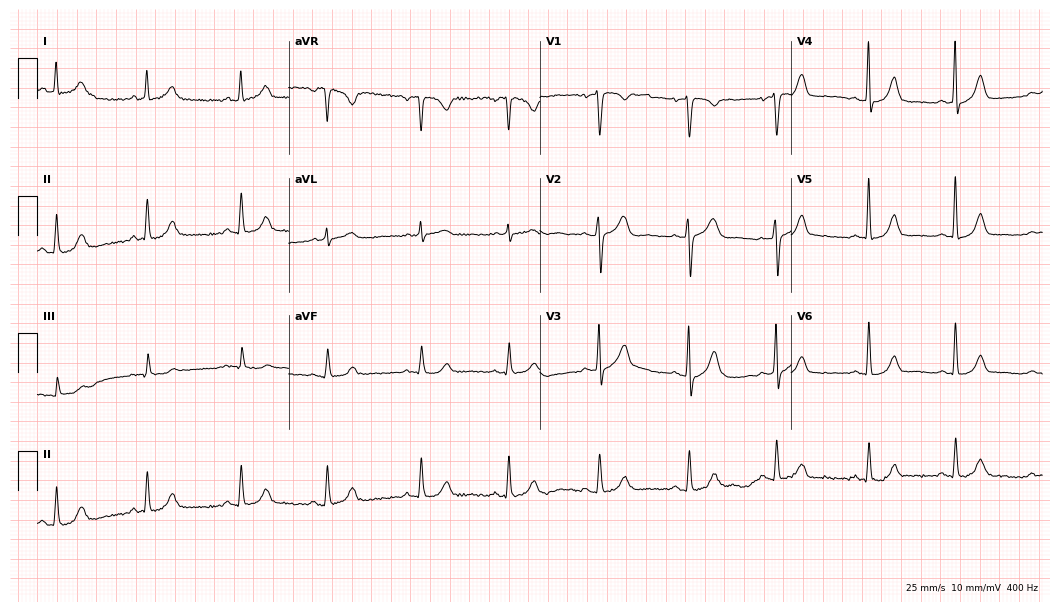
ECG (10.2-second recording at 400 Hz) — a female patient, 44 years old. Screened for six findings — first-degree AV block, right bundle branch block, left bundle branch block, sinus bradycardia, atrial fibrillation, sinus tachycardia — none is recorded. Other findings, if any, are not listed.